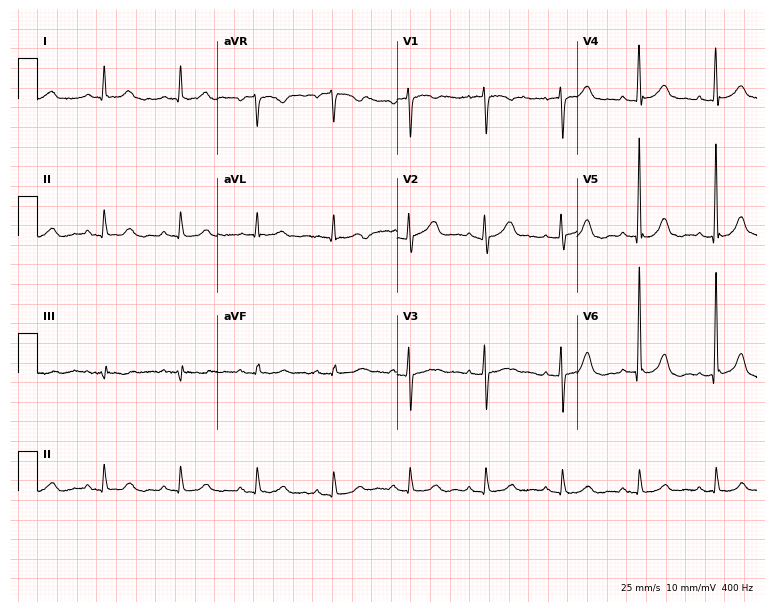
ECG — a woman, 76 years old. Screened for six findings — first-degree AV block, right bundle branch block, left bundle branch block, sinus bradycardia, atrial fibrillation, sinus tachycardia — none is recorded. Only these six findings were labelled.